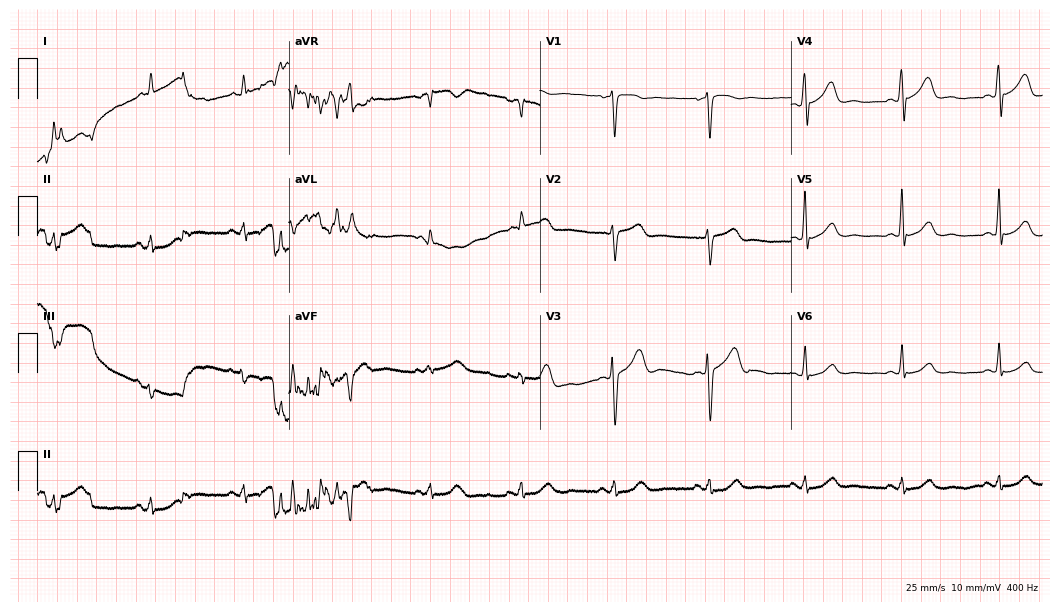
Standard 12-lead ECG recorded from a 59-year-old man. None of these six findings is recorded: first-degree AV block, right bundle branch block, left bundle branch block, sinus bradycardia, atrial fibrillation, sinus tachycardia. Only these six findings were labelled.